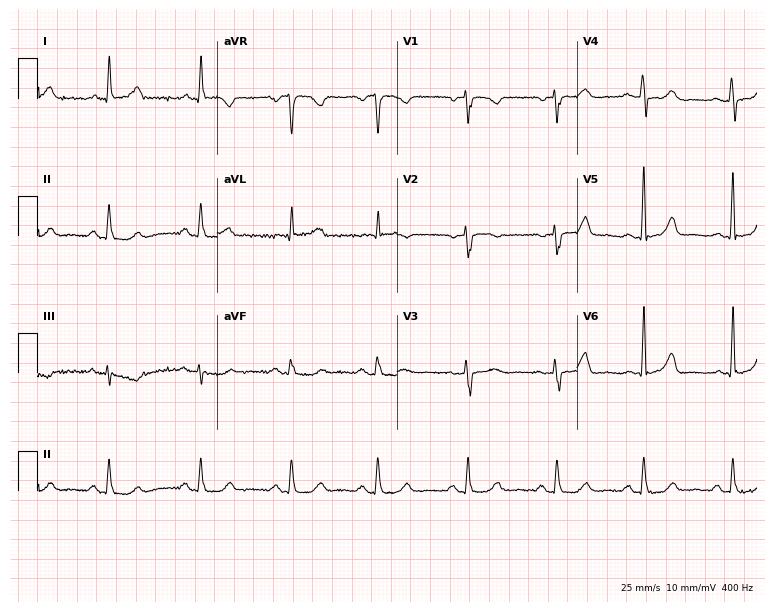
Resting 12-lead electrocardiogram. Patient: a 74-year-old woman. None of these six findings is recorded: first-degree AV block, right bundle branch block (RBBB), left bundle branch block (LBBB), sinus bradycardia, atrial fibrillation (AF), sinus tachycardia.